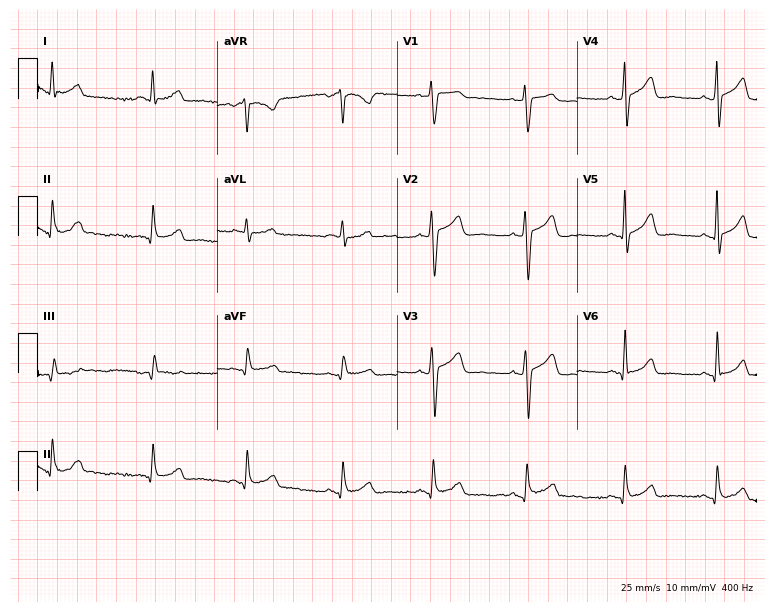
ECG (7.3-second recording at 400 Hz) — a woman, 34 years old. Screened for six findings — first-degree AV block, right bundle branch block (RBBB), left bundle branch block (LBBB), sinus bradycardia, atrial fibrillation (AF), sinus tachycardia — none is recorded. Other findings, if any, are not listed.